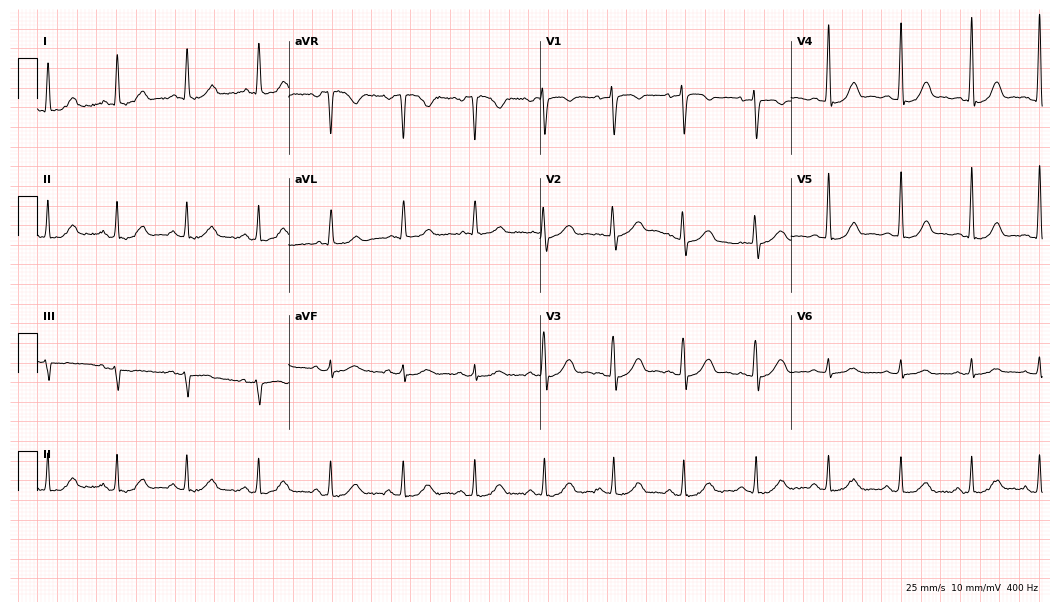
ECG (10.2-second recording at 400 Hz) — a 68-year-old woman. Labelled as a normal ECG.